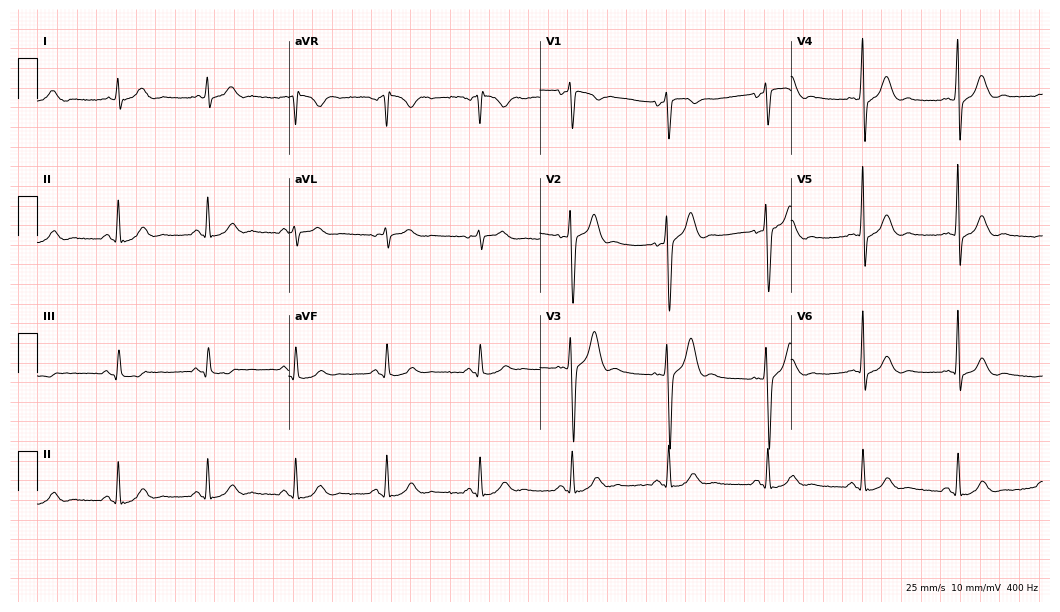
Standard 12-lead ECG recorded from a male, 28 years old. None of these six findings is recorded: first-degree AV block, right bundle branch block (RBBB), left bundle branch block (LBBB), sinus bradycardia, atrial fibrillation (AF), sinus tachycardia. Other findings, if any, are not listed.